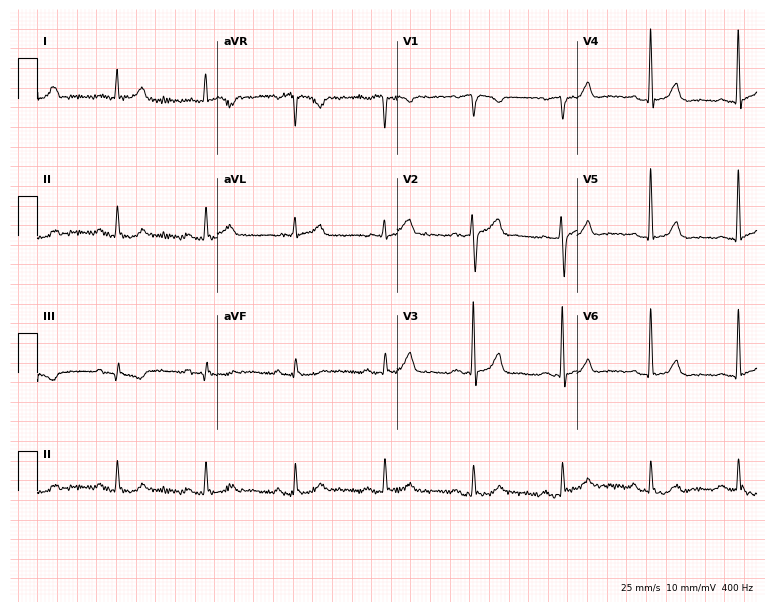
Standard 12-lead ECG recorded from a 55-year-old man (7.3-second recording at 400 Hz). Read as a normal ECG.